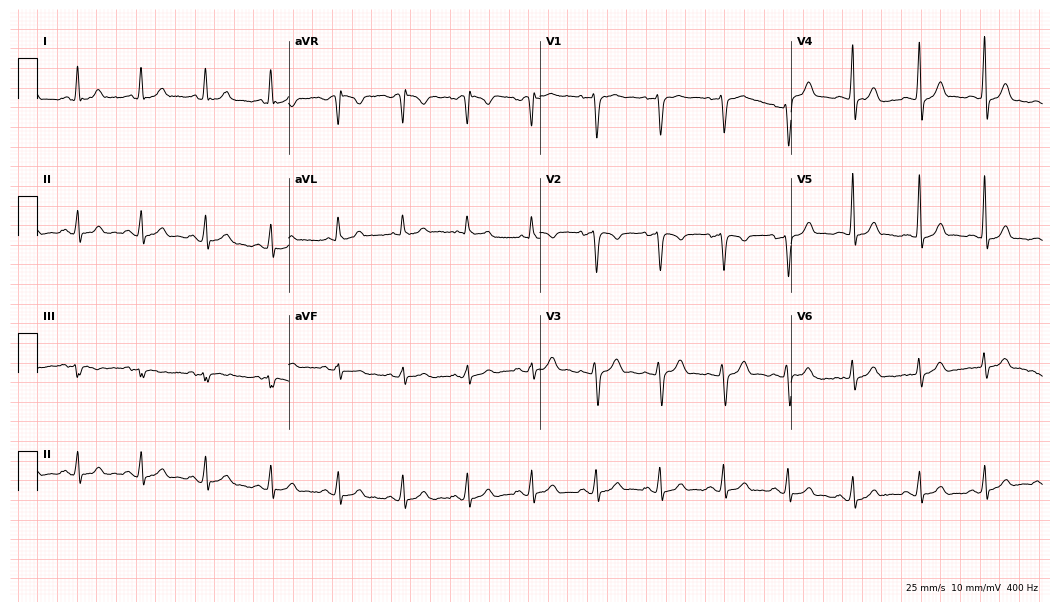
Resting 12-lead electrocardiogram (10.2-second recording at 400 Hz). Patient: a man, 43 years old. None of these six findings is recorded: first-degree AV block, right bundle branch block, left bundle branch block, sinus bradycardia, atrial fibrillation, sinus tachycardia.